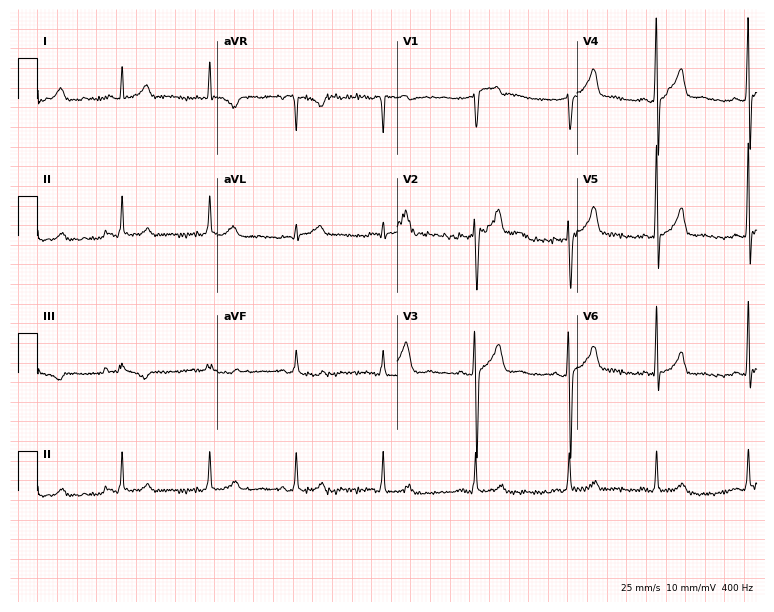
ECG (7.3-second recording at 400 Hz) — a 29-year-old man. Screened for six findings — first-degree AV block, right bundle branch block, left bundle branch block, sinus bradycardia, atrial fibrillation, sinus tachycardia — none is recorded.